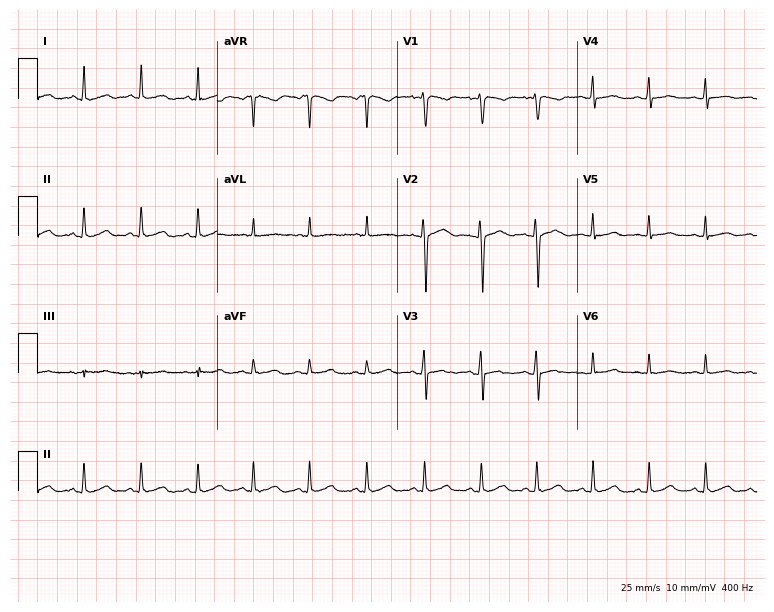
Electrocardiogram, a female, 20 years old. Of the six screened findings (first-degree AV block, right bundle branch block, left bundle branch block, sinus bradycardia, atrial fibrillation, sinus tachycardia), none is recorded. Only these six findings were labelled.